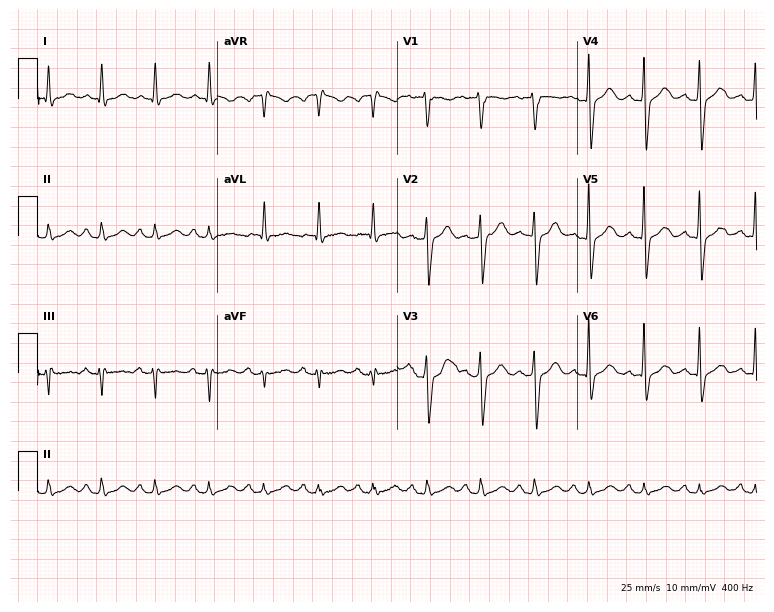
Standard 12-lead ECG recorded from a male patient, 72 years old (7.3-second recording at 400 Hz). The tracing shows sinus tachycardia (a sinus rate of 100 beats per minute or more).